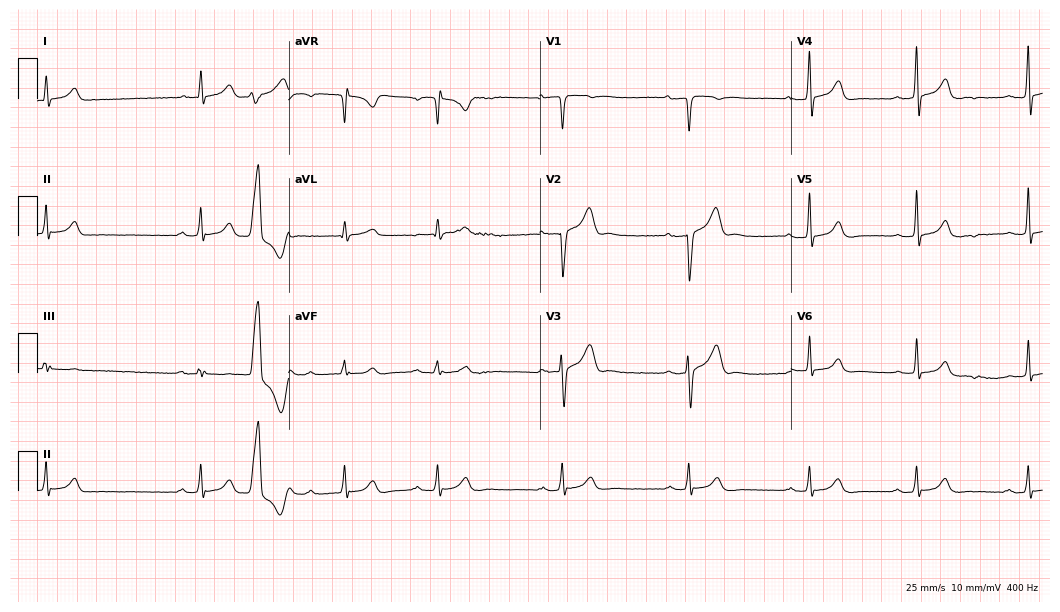
Standard 12-lead ECG recorded from a 36-year-old man. Read as a normal ECG.